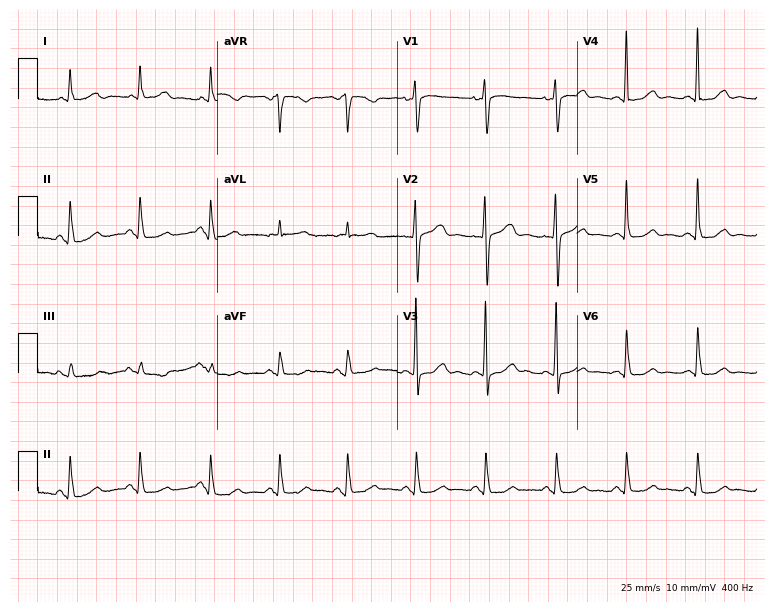
Standard 12-lead ECG recorded from a female, 70 years old. None of these six findings is recorded: first-degree AV block, right bundle branch block, left bundle branch block, sinus bradycardia, atrial fibrillation, sinus tachycardia.